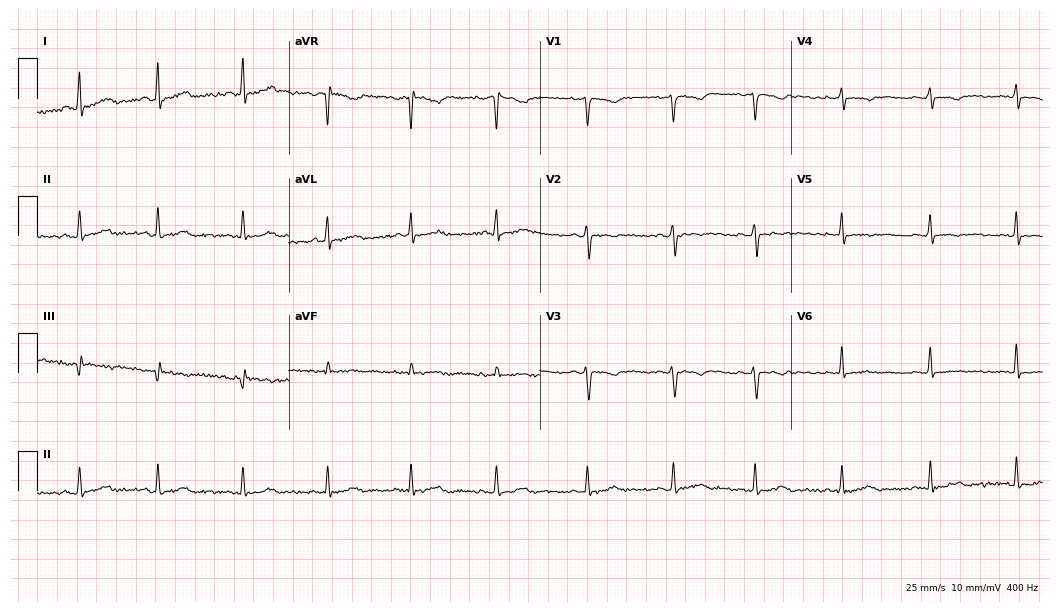
ECG — a female, 29 years old. Screened for six findings — first-degree AV block, right bundle branch block, left bundle branch block, sinus bradycardia, atrial fibrillation, sinus tachycardia — none is recorded.